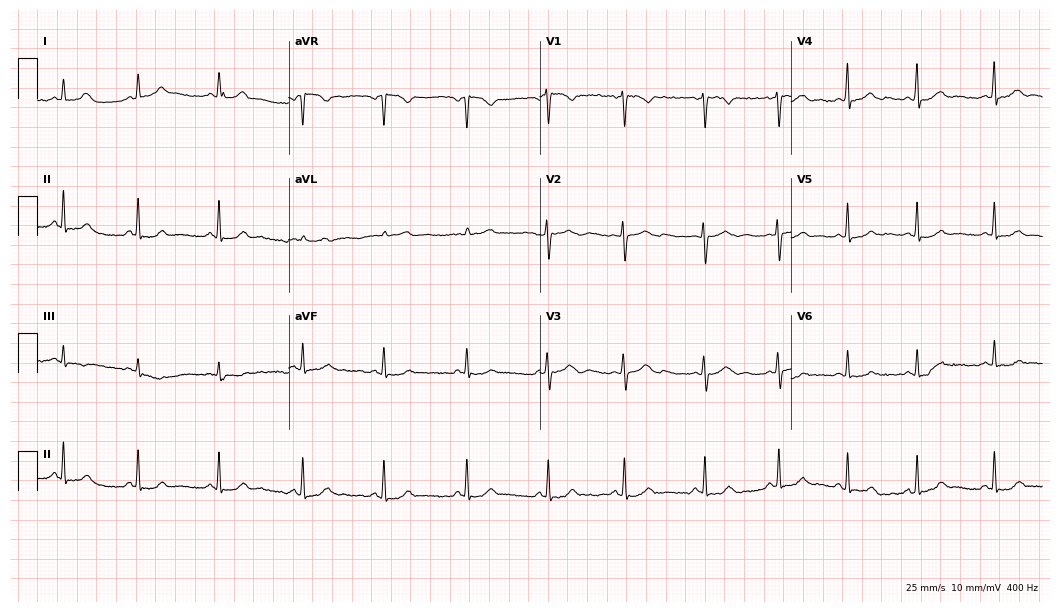
12-lead ECG (10.2-second recording at 400 Hz) from a 20-year-old female patient. Labelled as a normal ECG.